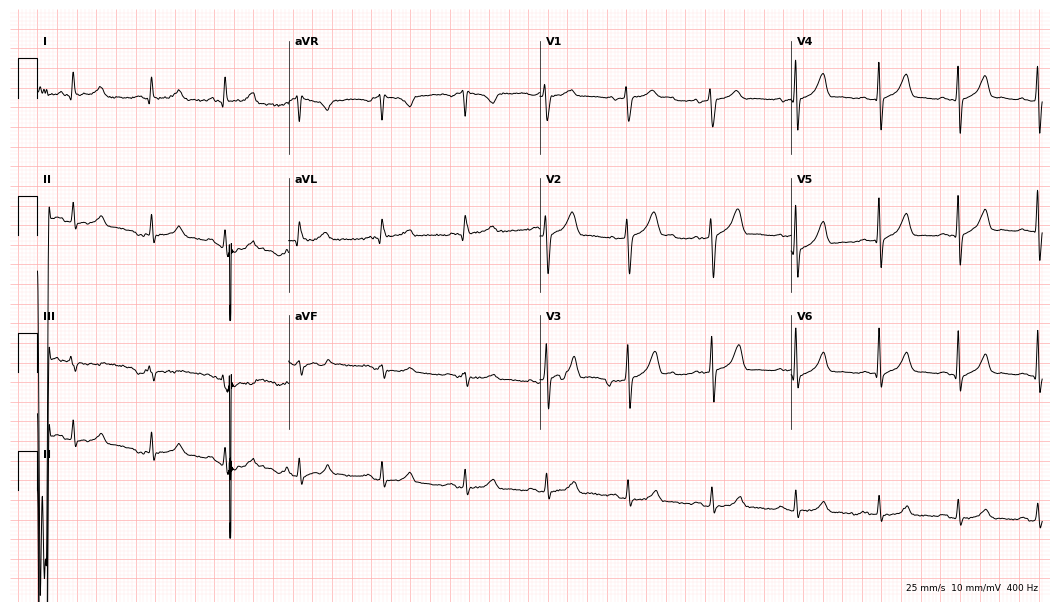
Standard 12-lead ECG recorded from a male, 65 years old. None of these six findings is recorded: first-degree AV block, right bundle branch block, left bundle branch block, sinus bradycardia, atrial fibrillation, sinus tachycardia. Findings outside these six are not listed.